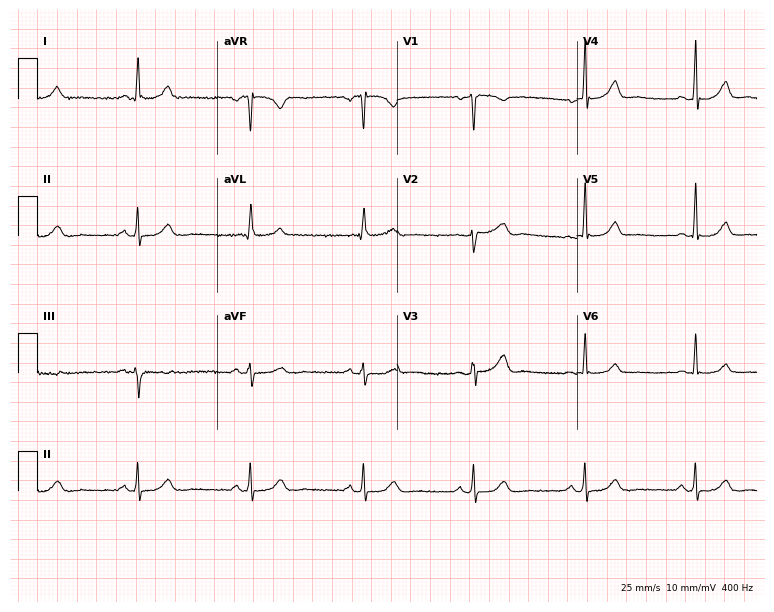
ECG — a female, 63 years old. Labelled as a normal ECG.